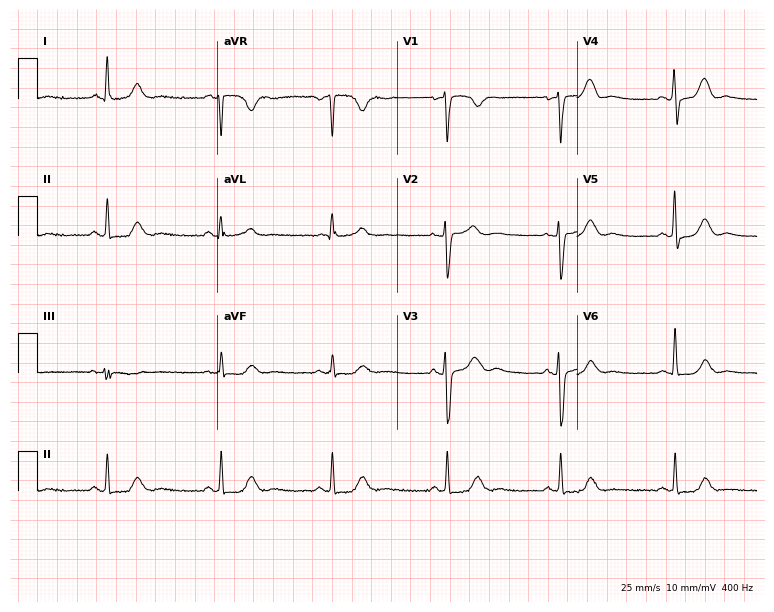
12-lead ECG (7.3-second recording at 400 Hz) from a 55-year-old female patient. Labelled as a normal ECG.